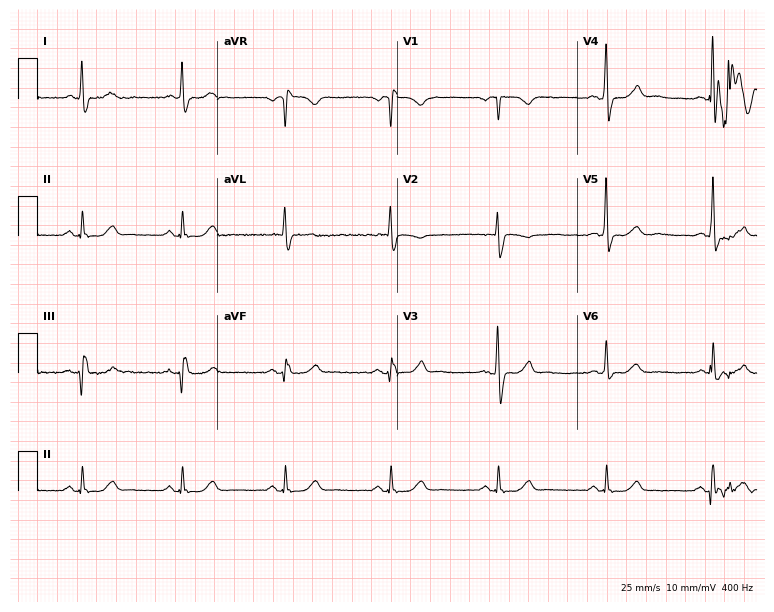
Resting 12-lead electrocardiogram (7.3-second recording at 400 Hz). Patient: a 59-year-old male. None of these six findings is recorded: first-degree AV block, right bundle branch block, left bundle branch block, sinus bradycardia, atrial fibrillation, sinus tachycardia.